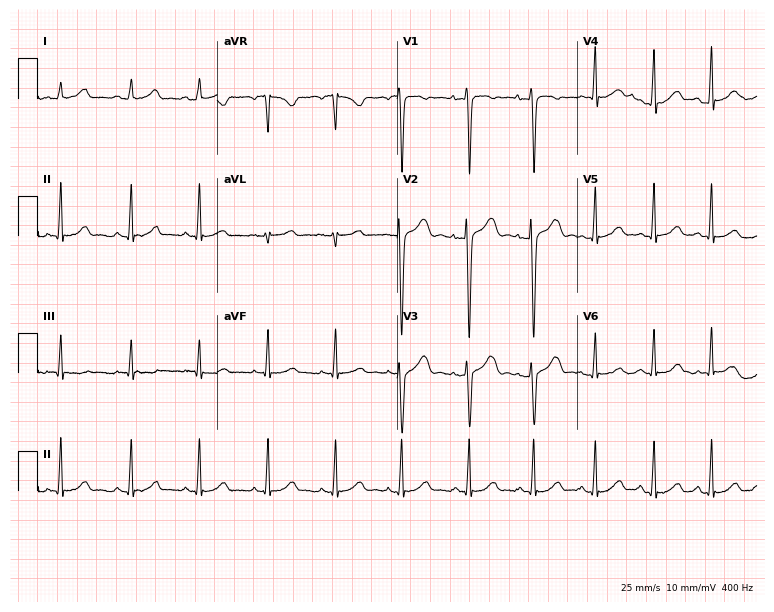
12-lead ECG from a female patient, 18 years old. No first-degree AV block, right bundle branch block, left bundle branch block, sinus bradycardia, atrial fibrillation or sinus tachycardia recorded for this tracing.